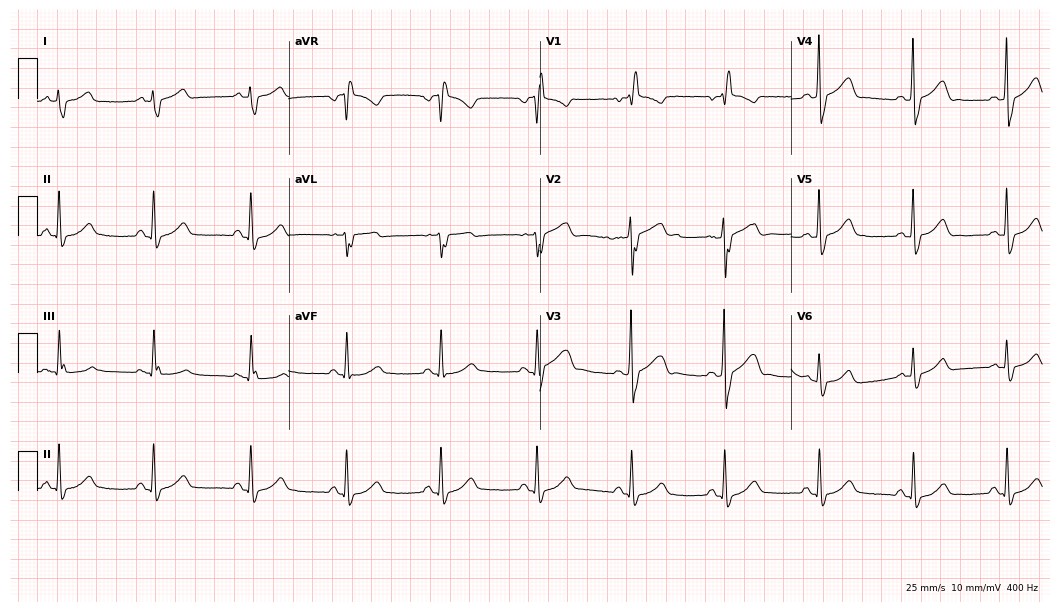
ECG — a 65-year-old man. Screened for six findings — first-degree AV block, right bundle branch block (RBBB), left bundle branch block (LBBB), sinus bradycardia, atrial fibrillation (AF), sinus tachycardia — none is recorded.